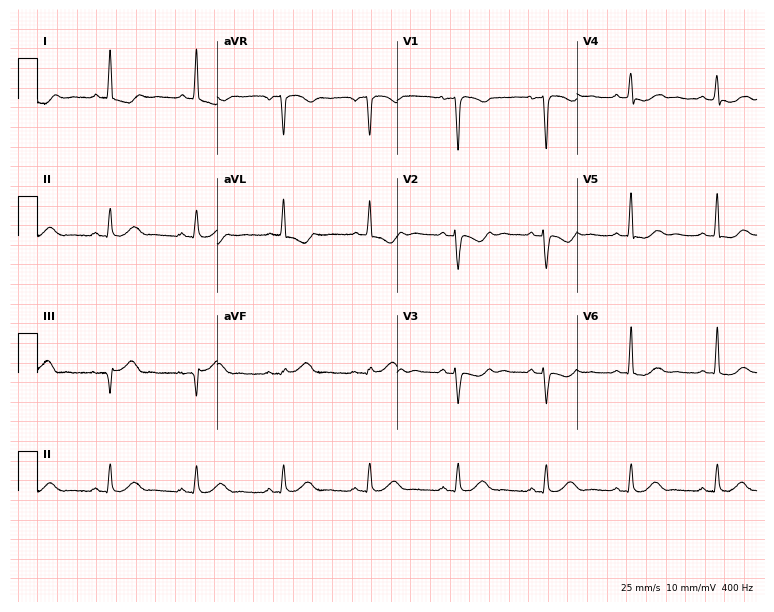
Resting 12-lead electrocardiogram (7.3-second recording at 400 Hz). Patient: a 42-year-old woman. None of these six findings is recorded: first-degree AV block, right bundle branch block, left bundle branch block, sinus bradycardia, atrial fibrillation, sinus tachycardia.